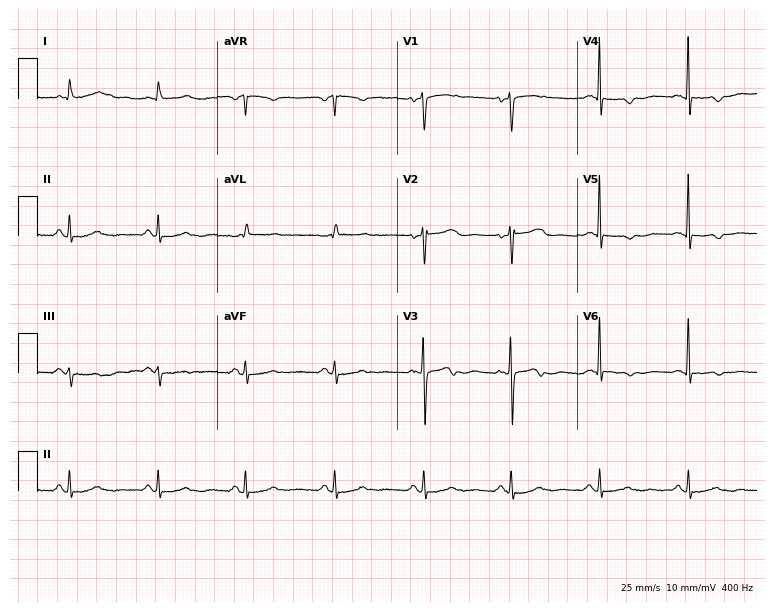
Electrocardiogram, a 78-year-old female. Of the six screened findings (first-degree AV block, right bundle branch block, left bundle branch block, sinus bradycardia, atrial fibrillation, sinus tachycardia), none is recorded.